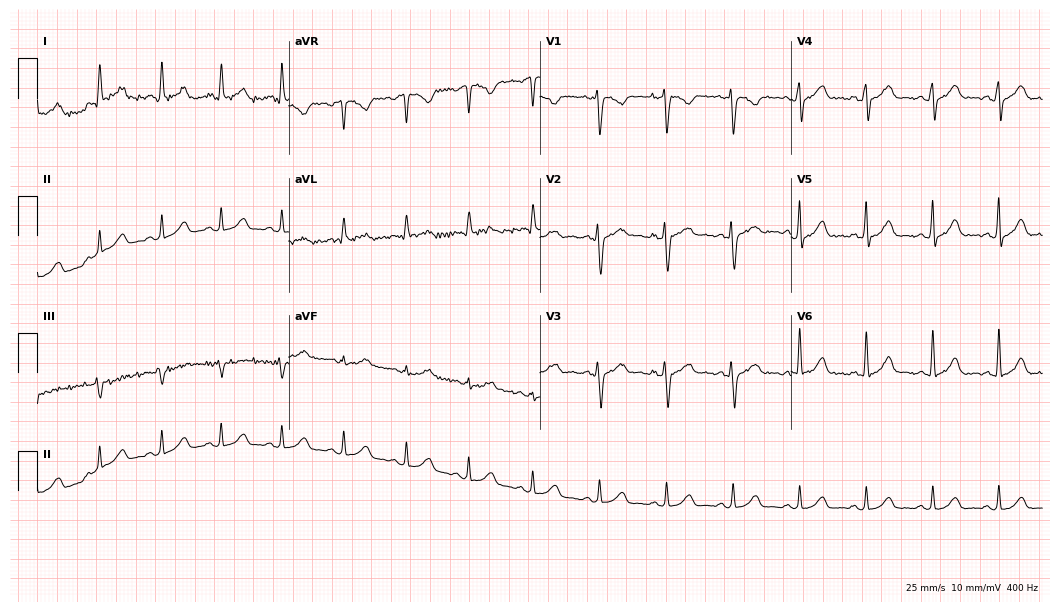
ECG (10.2-second recording at 400 Hz) — a woman, 31 years old. Labelled as a normal ECG.